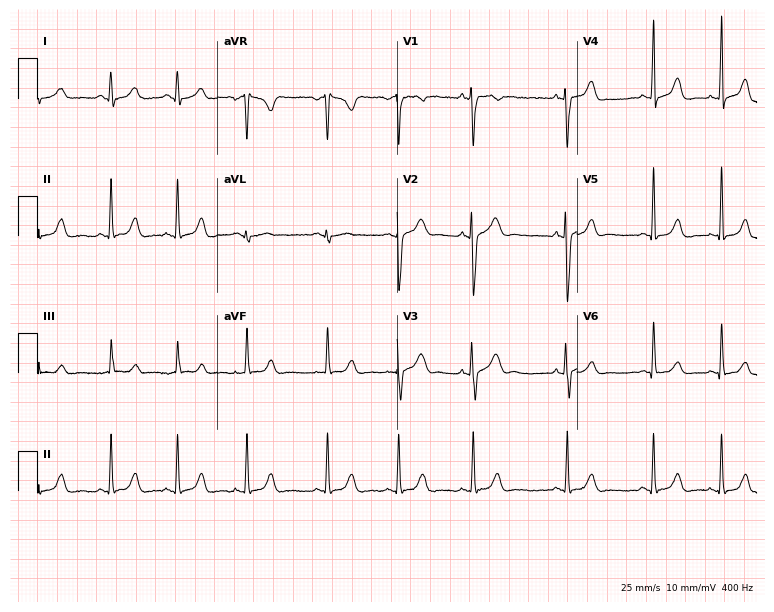
ECG — an 18-year-old woman. Screened for six findings — first-degree AV block, right bundle branch block (RBBB), left bundle branch block (LBBB), sinus bradycardia, atrial fibrillation (AF), sinus tachycardia — none is recorded. Only these six findings were labelled.